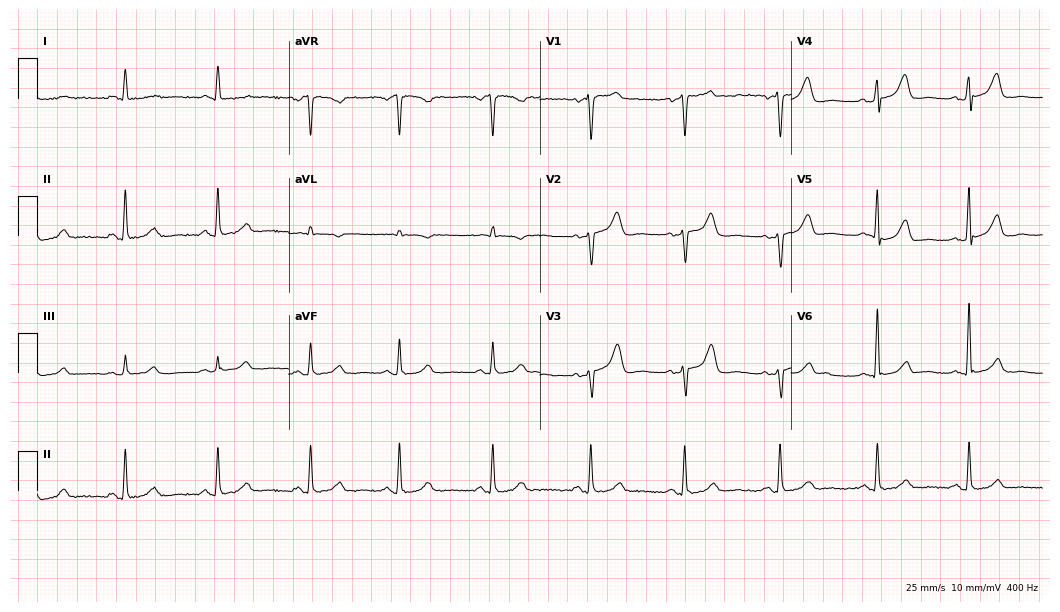
12-lead ECG from a 48-year-old female. Screened for six findings — first-degree AV block, right bundle branch block, left bundle branch block, sinus bradycardia, atrial fibrillation, sinus tachycardia — none is recorded.